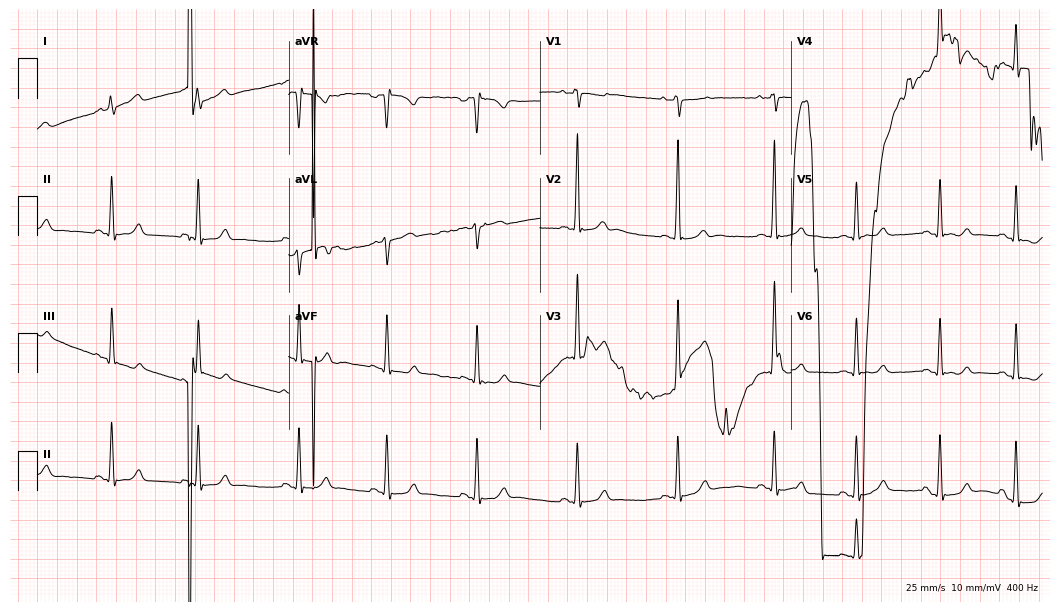
Resting 12-lead electrocardiogram. Patient: a man, 17 years old. None of these six findings is recorded: first-degree AV block, right bundle branch block, left bundle branch block, sinus bradycardia, atrial fibrillation, sinus tachycardia. Only these six findings were labelled.